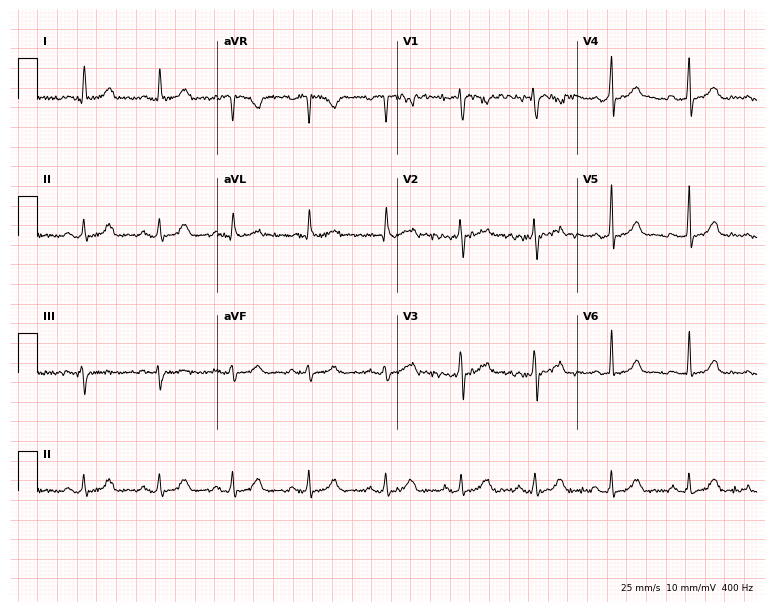
ECG — a 37-year-old woman. Labelled as a normal ECG.